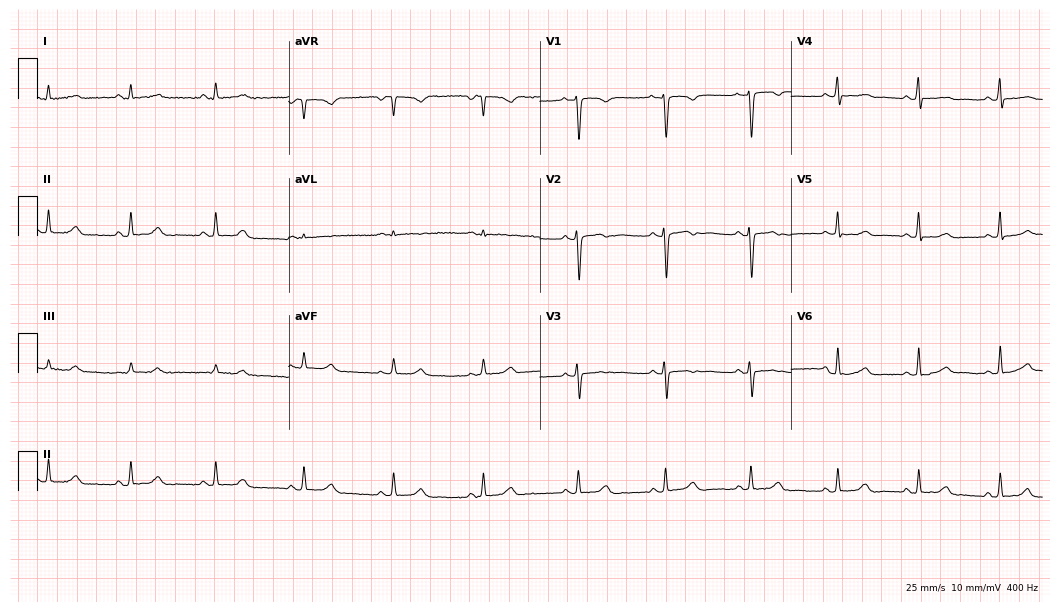
12-lead ECG from a female patient, 19 years old. Screened for six findings — first-degree AV block, right bundle branch block, left bundle branch block, sinus bradycardia, atrial fibrillation, sinus tachycardia — none is recorded.